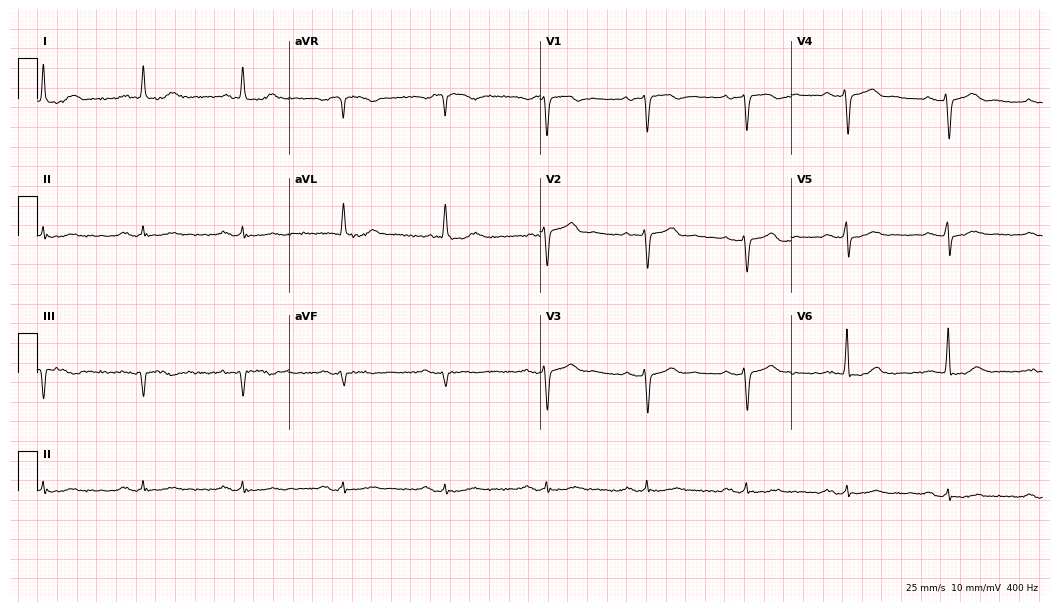
Resting 12-lead electrocardiogram. Patient: a 74-year-old man. None of these six findings is recorded: first-degree AV block, right bundle branch block (RBBB), left bundle branch block (LBBB), sinus bradycardia, atrial fibrillation (AF), sinus tachycardia. Other findings, if any, are not listed.